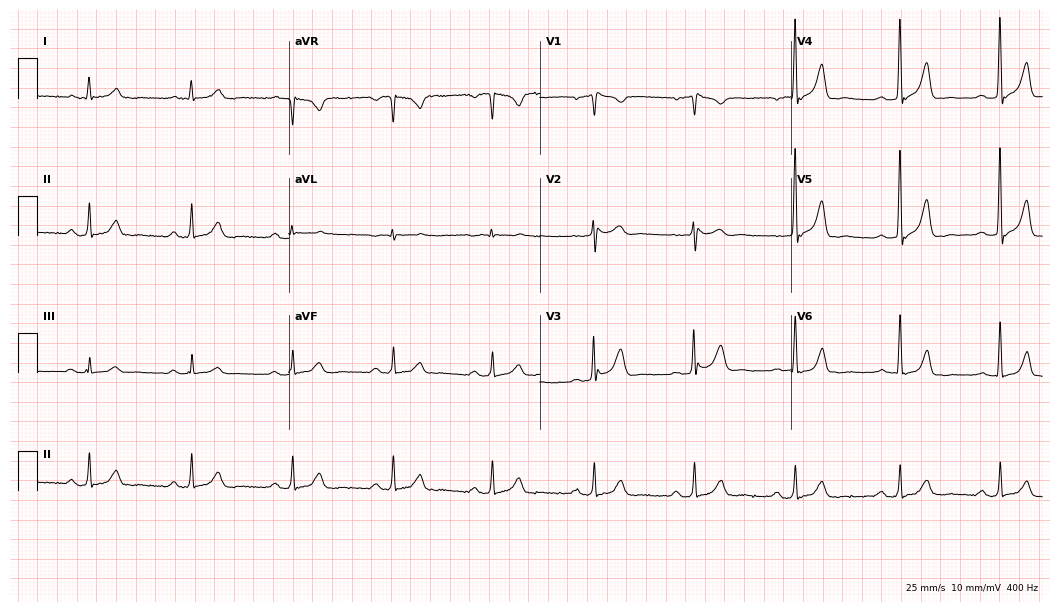
12-lead ECG (10.2-second recording at 400 Hz) from a male, 64 years old. Labelled as a normal ECG.